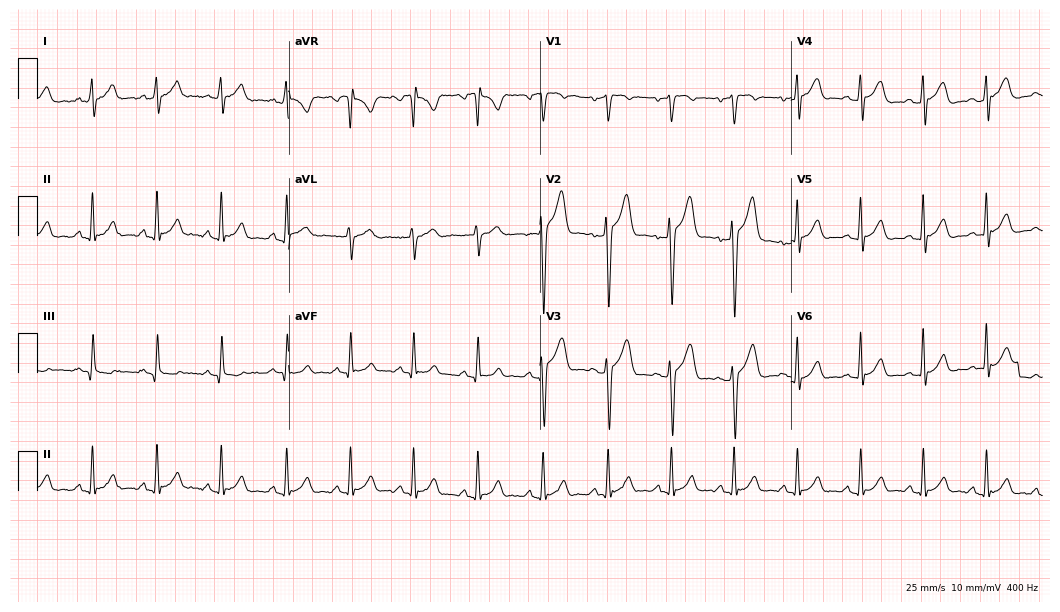
12-lead ECG from a male, 21 years old (10.2-second recording at 400 Hz). Recorded interpretation: within normal limits.